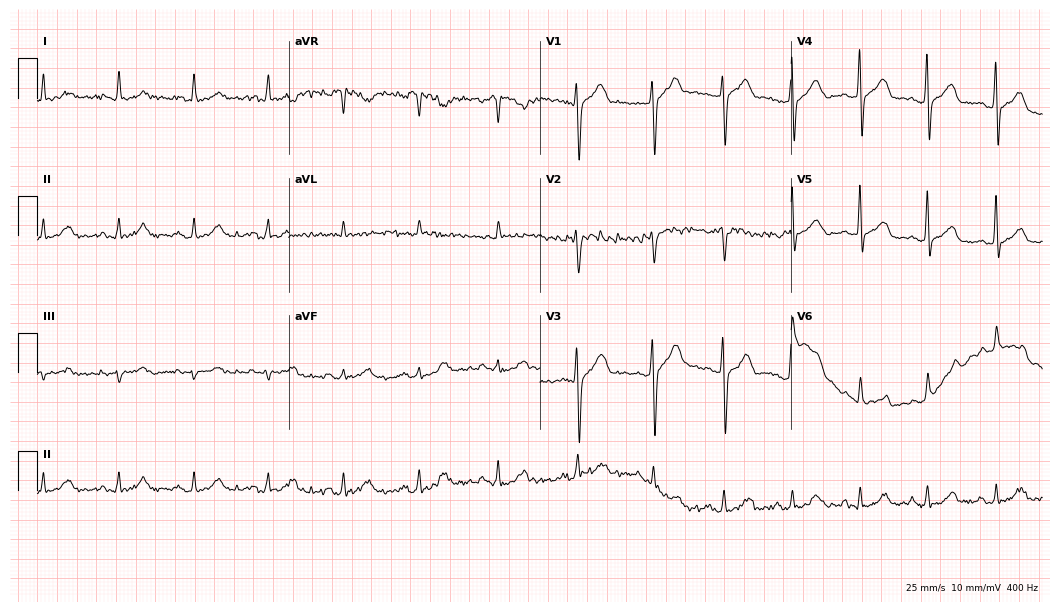
ECG (10.2-second recording at 400 Hz) — a 37-year-old male. Labelled as a normal ECG.